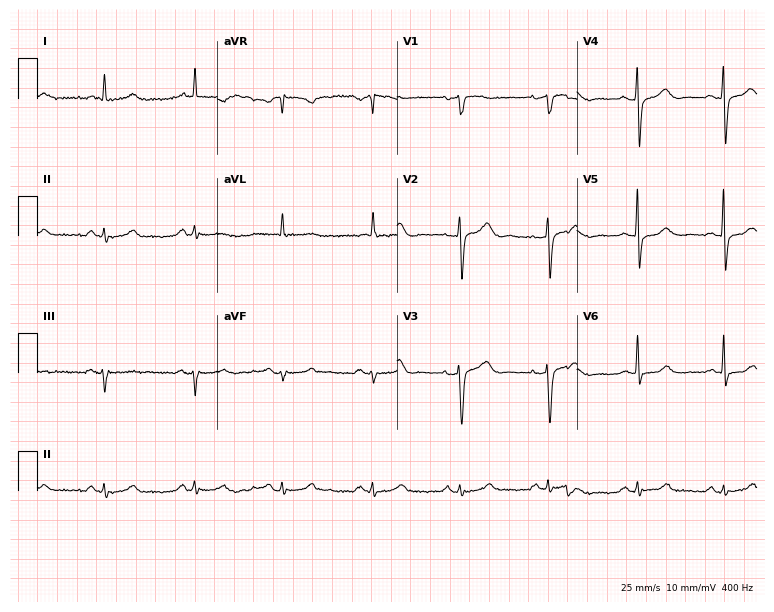
ECG (7.3-second recording at 400 Hz) — a female, 68 years old. Screened for six findings — first-degree AV block, right bundle branch block, left bundle branch block, sinus bradycardia, atrial fibrillation, sinus tachycardia — none is recorded.